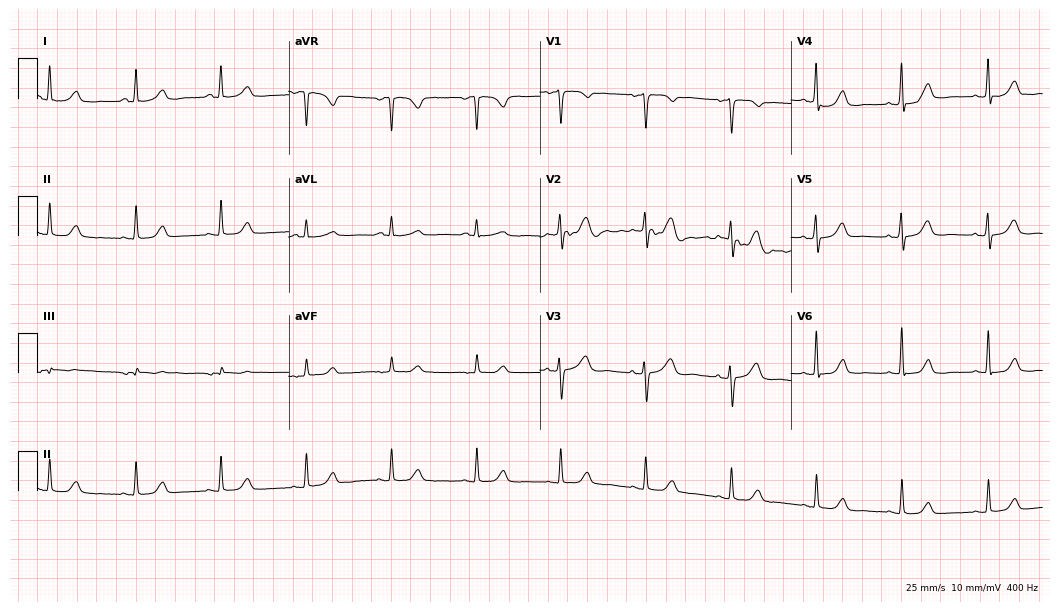
ECG — a woman, 68 years old. Labelled as a normal ECG.